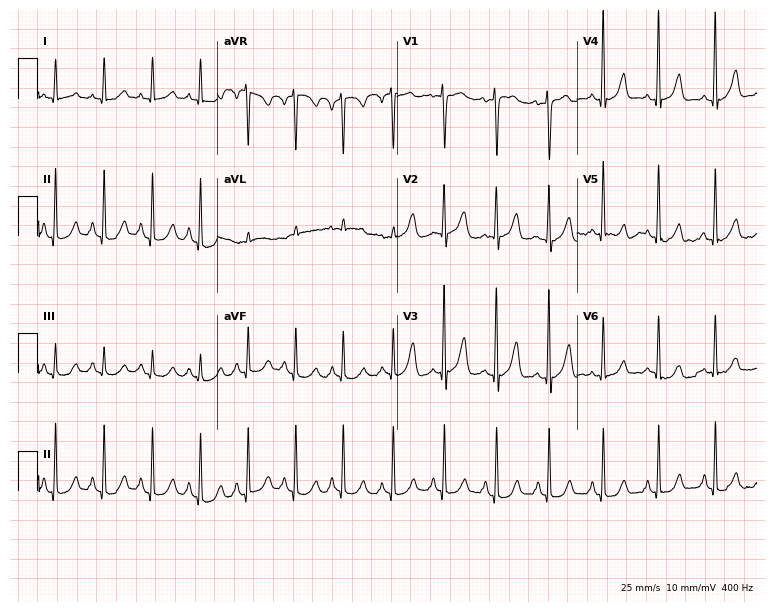
Electrocardiogram, a 47-year-old female. Interpretation includes sinus tachycardia (a sinus rate of 100 beats per minute or more).